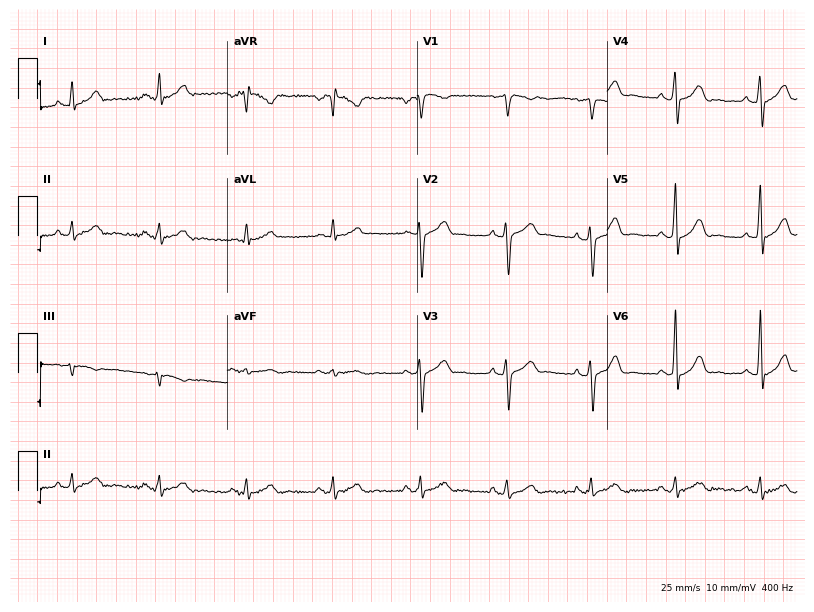
Resting 12-lead electrocardiogram (7.7-second recording at 400 Hz). Patient: a 43-year-old male. Read as a normal ECG.